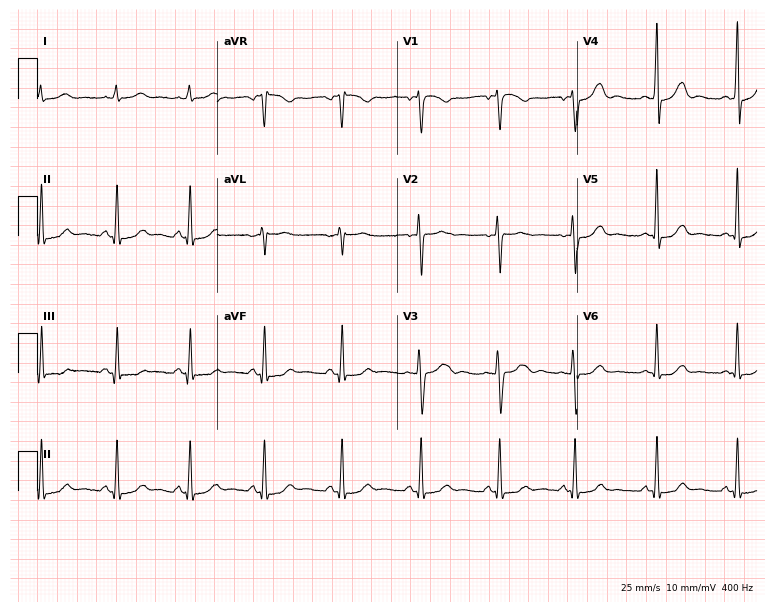
Resting 12-lead electrocardiogram. Patient: a female, 40 years old. None of these six findings is recorded: first-degree AV block, right bundle branch block, left bundle branch block, sinus bradycardia, atrial fibrillation, sinus tachycardia. Findings outside these six are not listed.